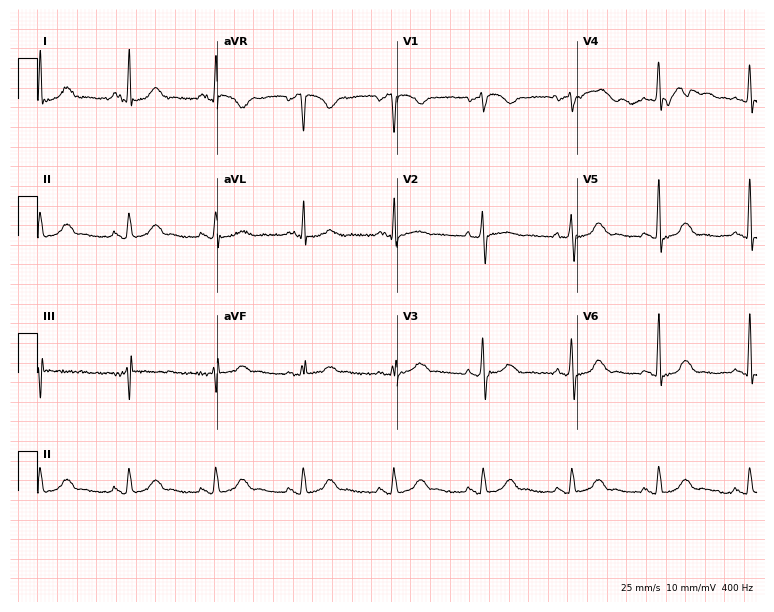
Standard 12-lead ECG recorded from a female, 45 years old. Read as a normal ECG.